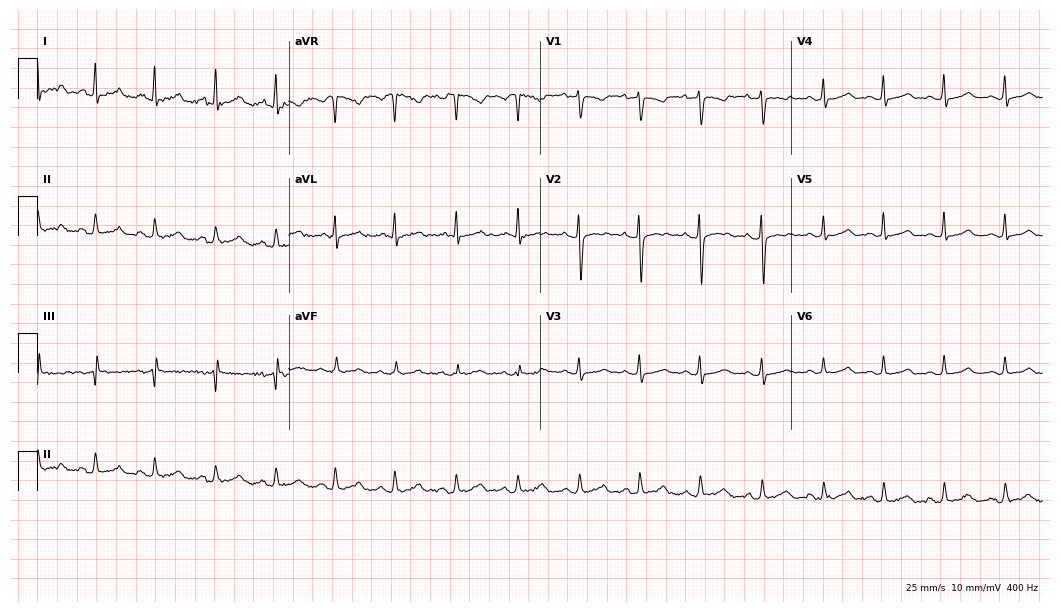
Electrocardiogram (10.2-second recording at 400 Hz), a female patient, 34 years old. Of the six screened findings (first-degree AV block, right bundle branch block, left bundle branch block, sinus bradycardia, atrial fibrillation, sinus tachycardia), none is recorded.